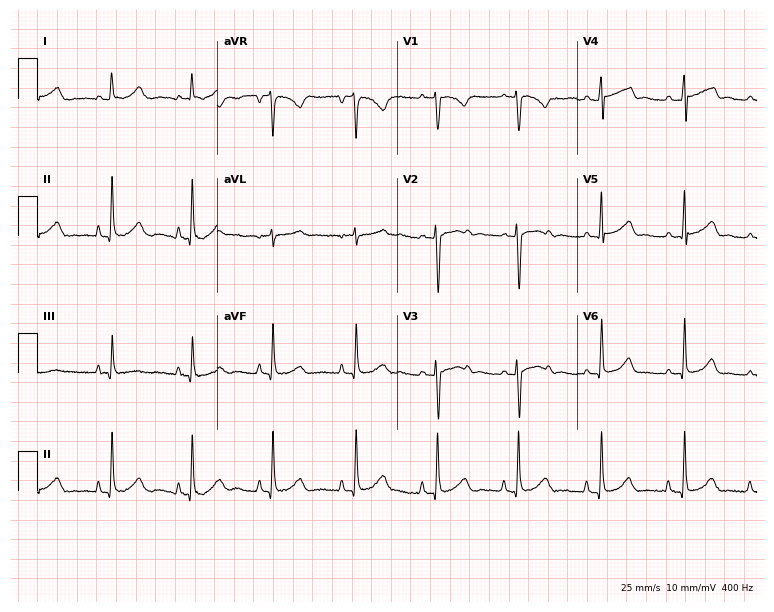
Electrocardiogram, a female, 17 years old. Overall reading on record: normal ECG.